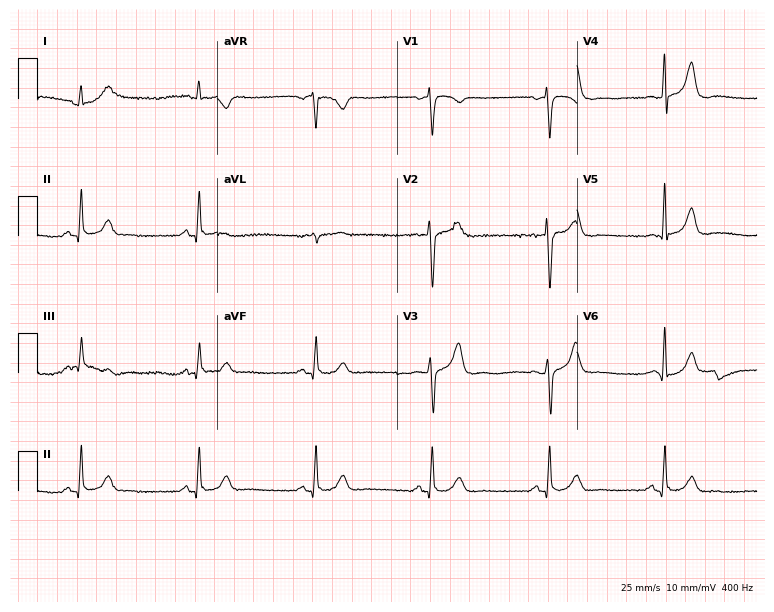
12-lead ECG from a 66-year-old male patient. Findings include sinus bradycardia (a sinus rate of 50 beats per minute or less).